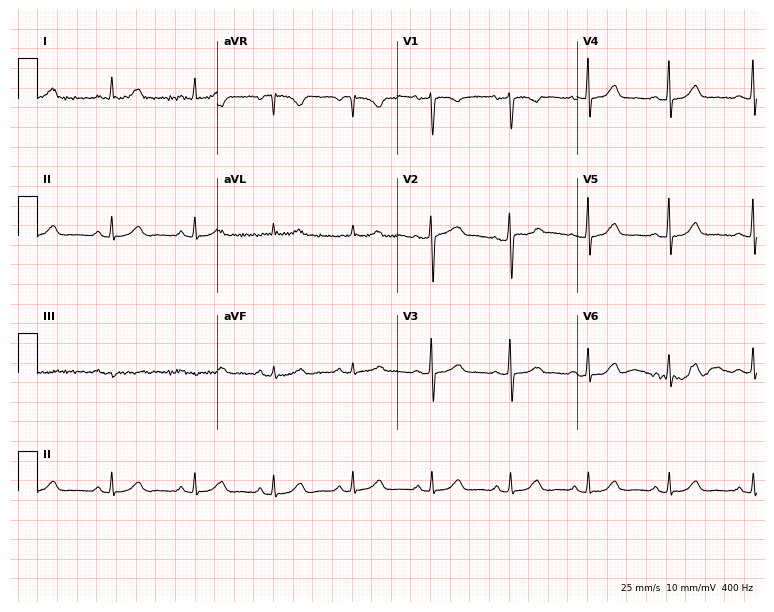
12-lead ECG (7.3-second recording at 400 Hz) from a woman, 48 years old. Labelled as a normal ECG.